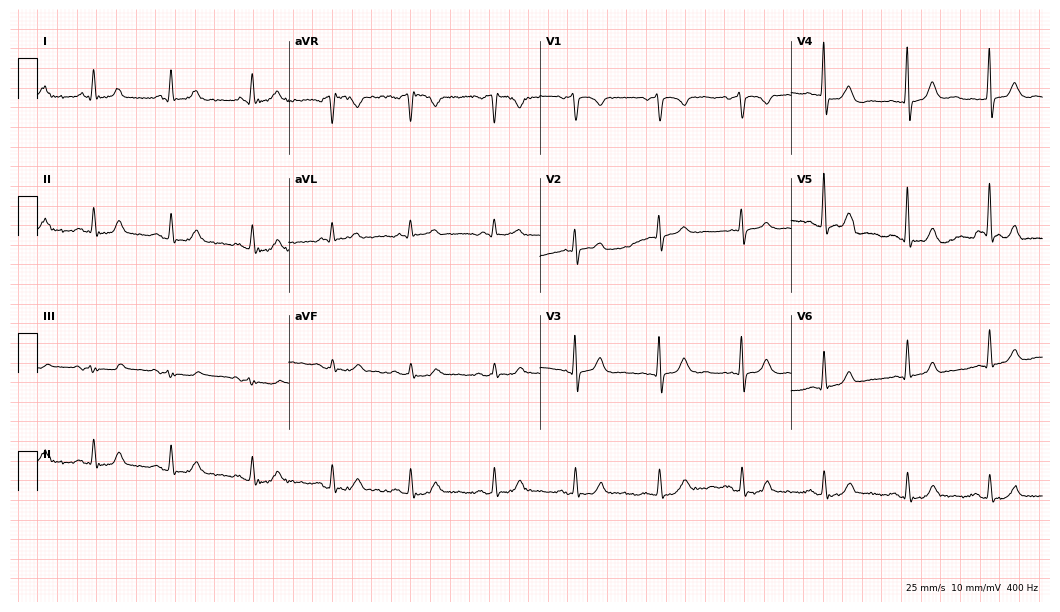
12-lead ECG from a man, 74 years old. Recorded interpretation: within normal limits.